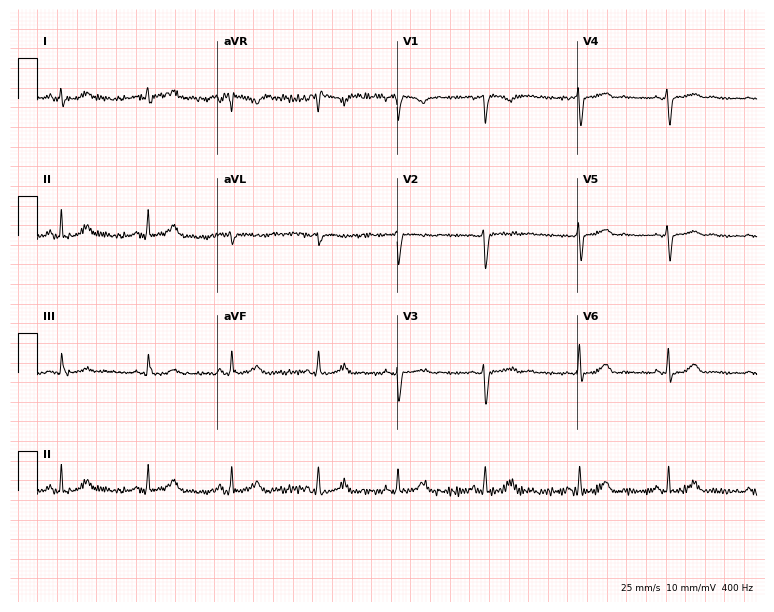
12-lead ECG from a 35-year-old female (7.3-second recording at 400 Hz). No first-degree AV block, right bundle branch block, left bundle branch block, sinus bradycardia, atrial fibrillation or sinus tachycardia recorded for this tracing.